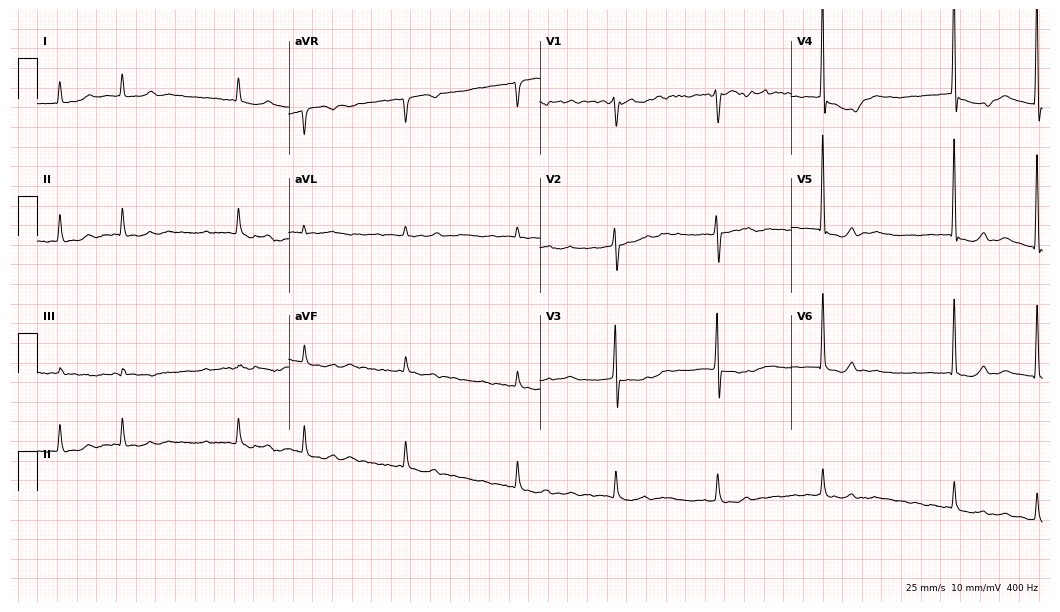
Standard 12-lead ECG recorded from a female patient, 71 years old. The tracing shows atrial fibrillation (AF).